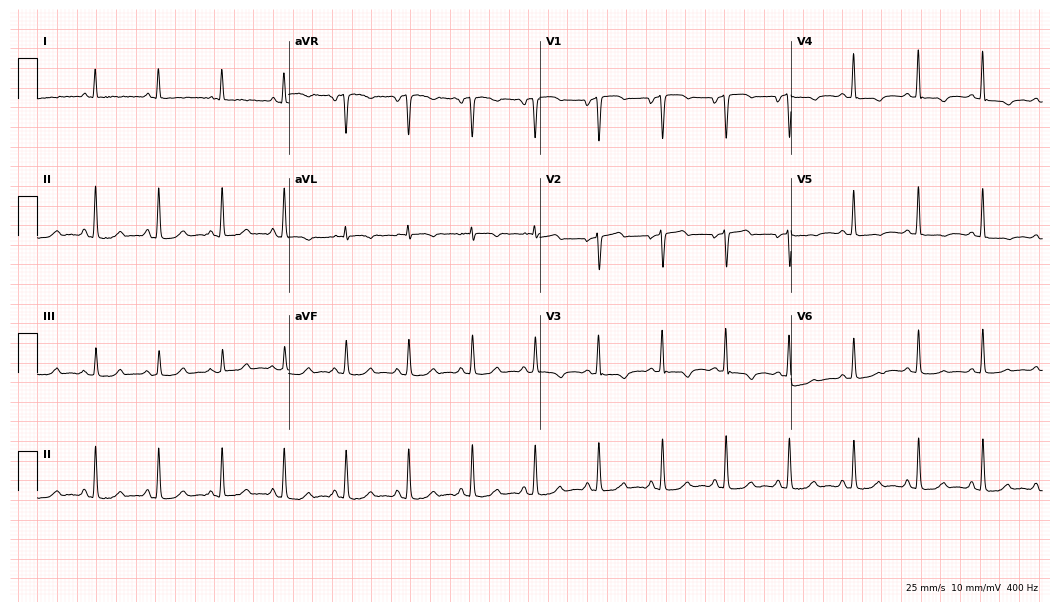
12-lead ECG from a 66-year-old female (10.2-second recording at 400 Hz). No first-degree AV block, right bundle branch block, left bundle branch block, sinus bradycardia, atrial fibrillation or sinus tachycardia recorded for this tracing. Only these six findings were labelled.